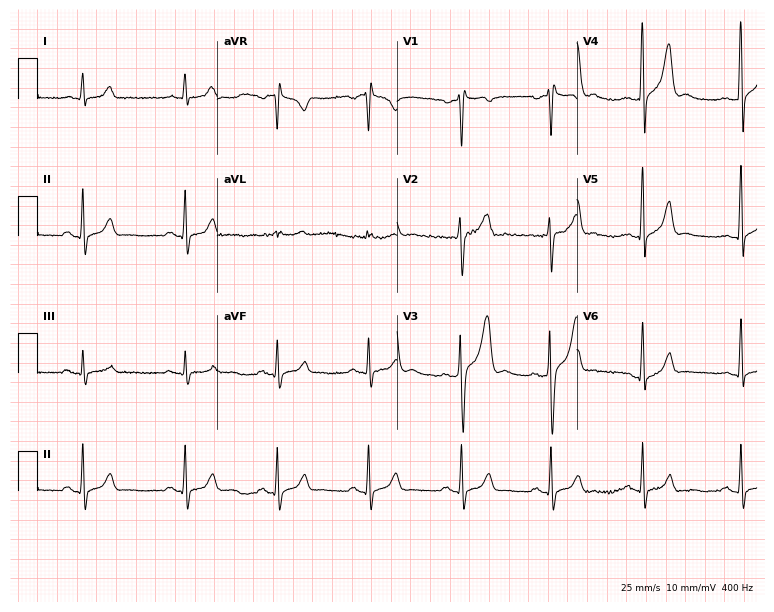
12-lead ECG from a 43-year-old male. No first-degree AV block, right bundle branch block (RBBB), left bundle branch block (LBBB), sinus bradycardia, atrial fibrillation (AF) or sinus tachycardia recorded for this tracing.